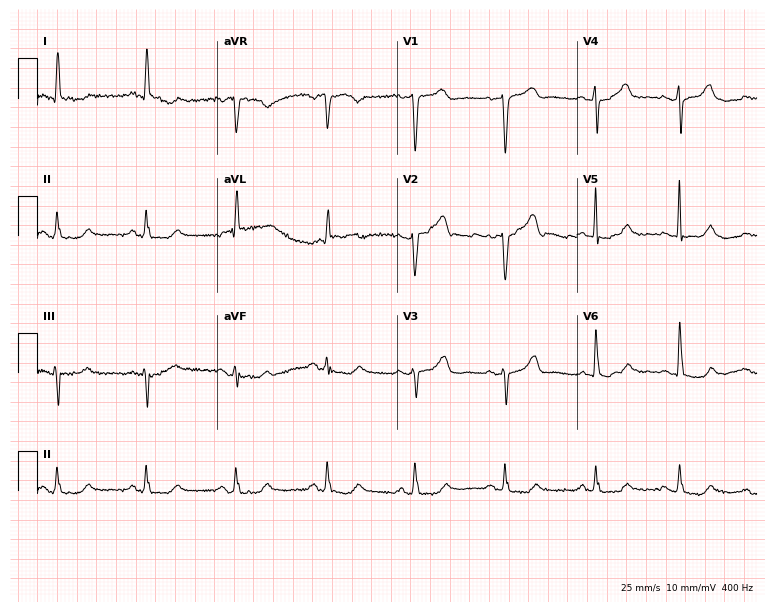
Resting 12-lead electrocardiogram (7.3-second recording at 400 Hz). Patient: an 83-year-old female. None of these six findings is recorded: first-degree AV block, right bundle branch block (RBBB), left bundle branch block (LBBB), sinus bradycardia, atrial fibrillation (AF), sinus tachycardia.